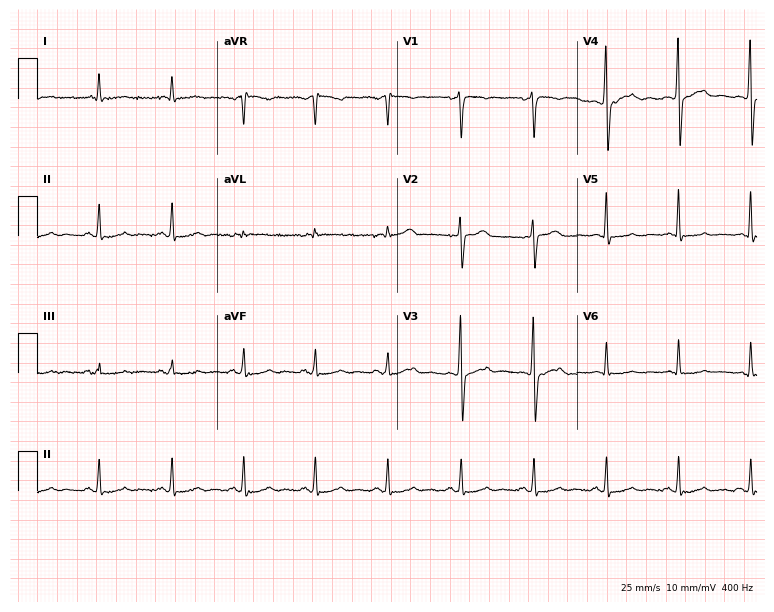
12-lead ECG from a male patient, 53 years old. No first-degree AV block, right bundle branch block, left bundle branch block, sinus bradycardia, atrial fibrillation or sinus tachycardia recorded for this tracing. Other findings, if any, are not listed.